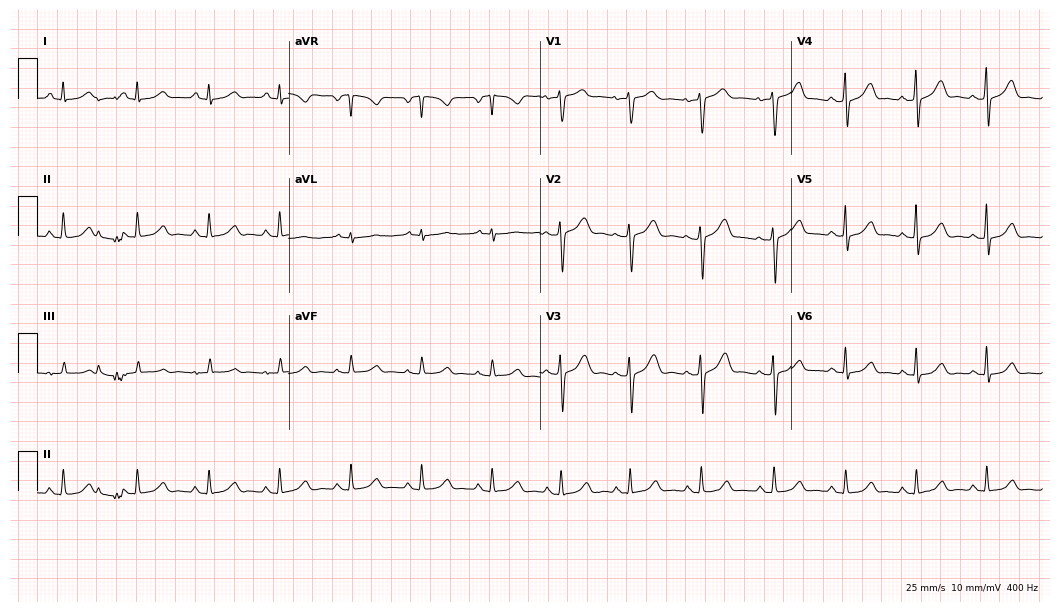
ECG — a 52-year-old female. Labelled as a normal ECG.